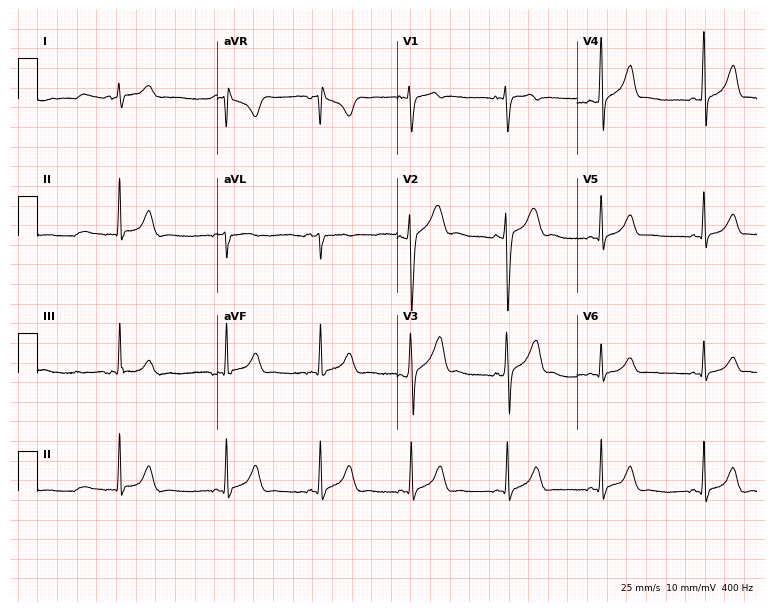
Electrocardiogram (7.3-second recording at 400 Hz), a male, 18 years old. Overall reading on record: normal ECG.